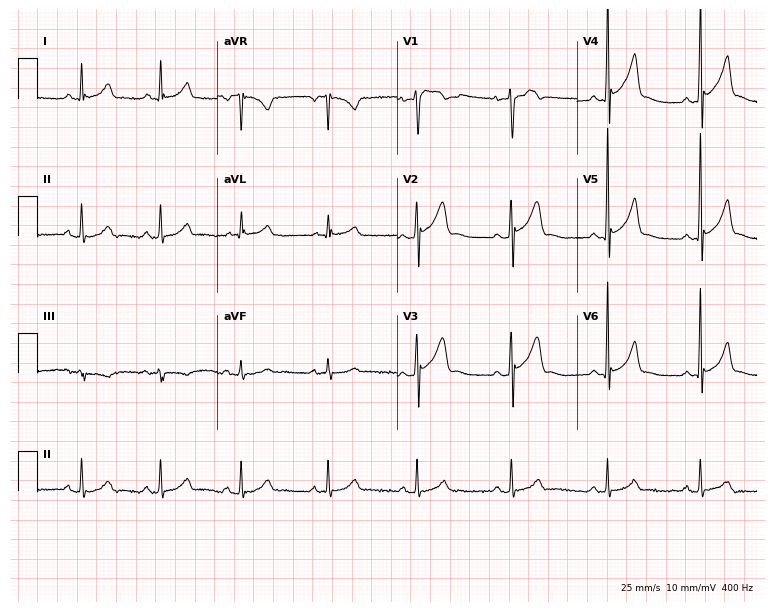
12-lead ECG (7.3-second recording at 400 Hz) from a male, 42 years old. Labelled as a normal ECG.